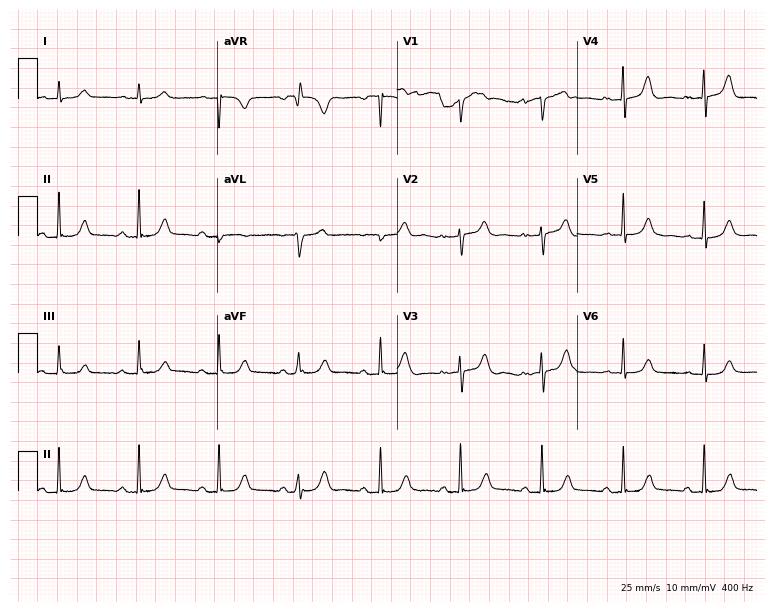
Electrocardiogram (7.3-second recording at 400 Hz), a female, 78 years old. Of the six screened findings (first-degree AV block, right bundle branch block (RBBB), left bundle branch block (LBBB), sinus bradycardia, atrial fibrillation (AF), sinus tachycardia), none is recorded. Findings outside these six are not listed.